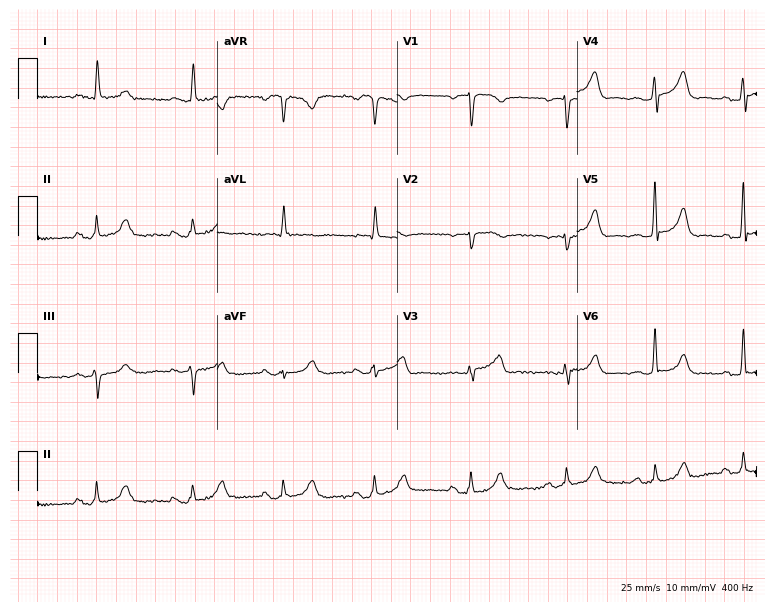
Standard 12-lead ECG recorded from a 72-year-old female (7.3-second recording at 400 Hz). None of these six findings is recorded: first-degree AV block, right bundle branch block, left bundle branch block, sinus bradycardia, atrial fibrillation, sinus tachycardia.